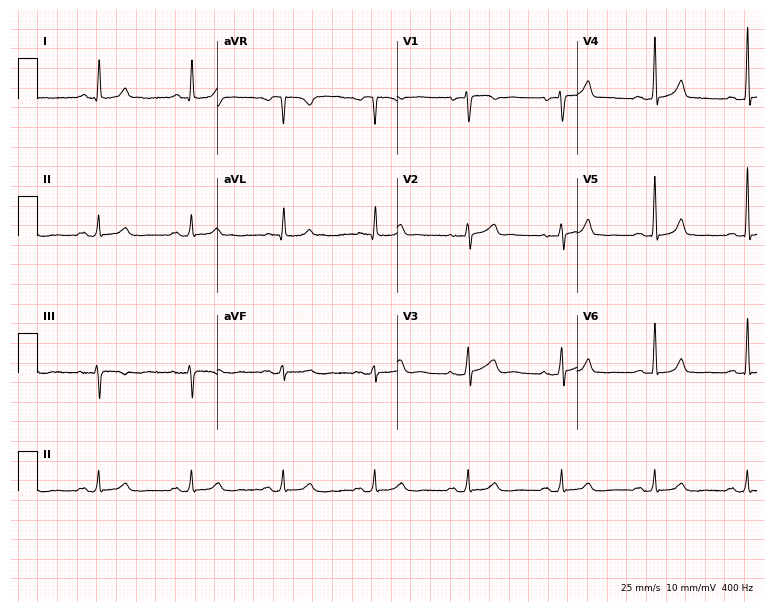
ECG (7.3-second recording at 400 Hz) — a female, 62 years old. Labelled as a normal ECG.